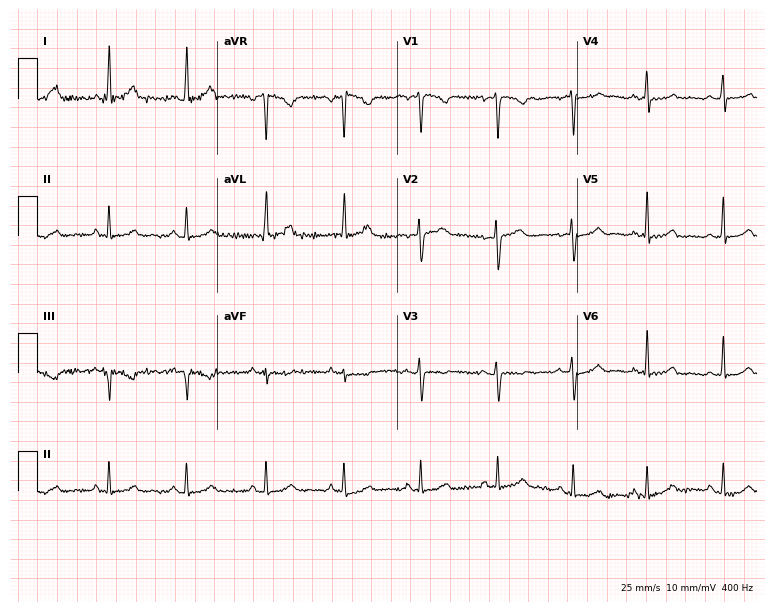
ECG (7.3-second recording at 400 Hz) — a 37-year-old female patient. Labelled as a normal ECG.